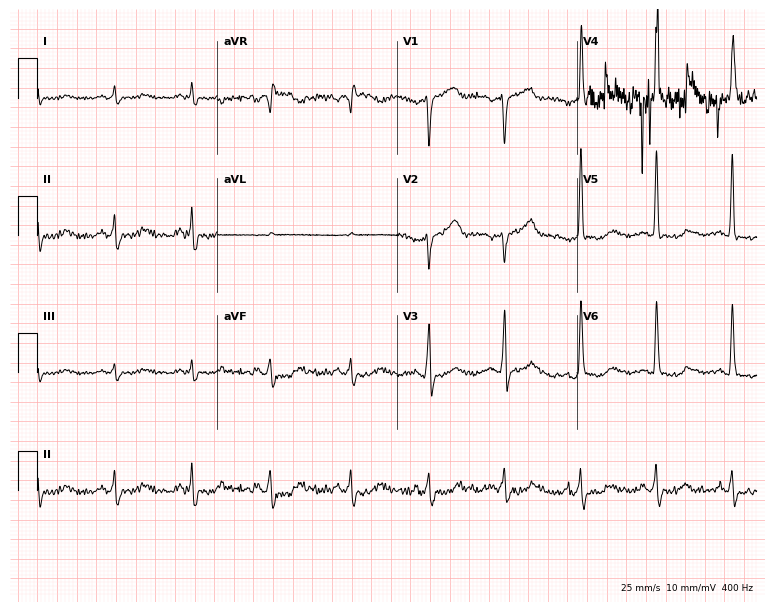
ECG — a female patient, 67 years old. Screened for six findings — first-degree AV block, right bundle branch block, left bundle branch block, sinus bradycardia, atrial fibrillation, sinus tachycardia — none is recorded. Other findings, if any, are not listed.